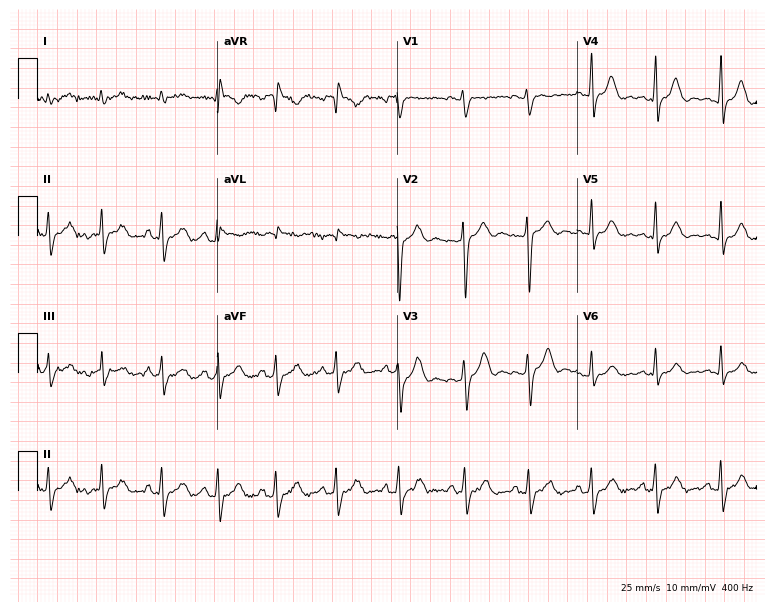
Standard 12-lead ECG recorded from a 17-year-old male. None of these six findings is recorded: first-degree AV block, right bundle branch block, left bundle branch block, sinus bradycardia, atrial fibrillation, sinus tachycardia. Findings outside these six are not listed.